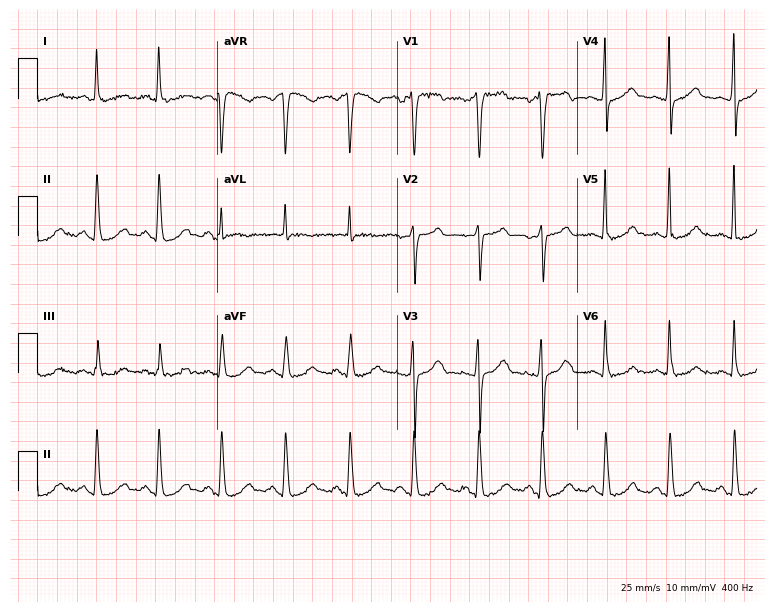
Resting 12-lead electrocardiogram. Patient: a woman, 58 years old. Read as a normal ECG.